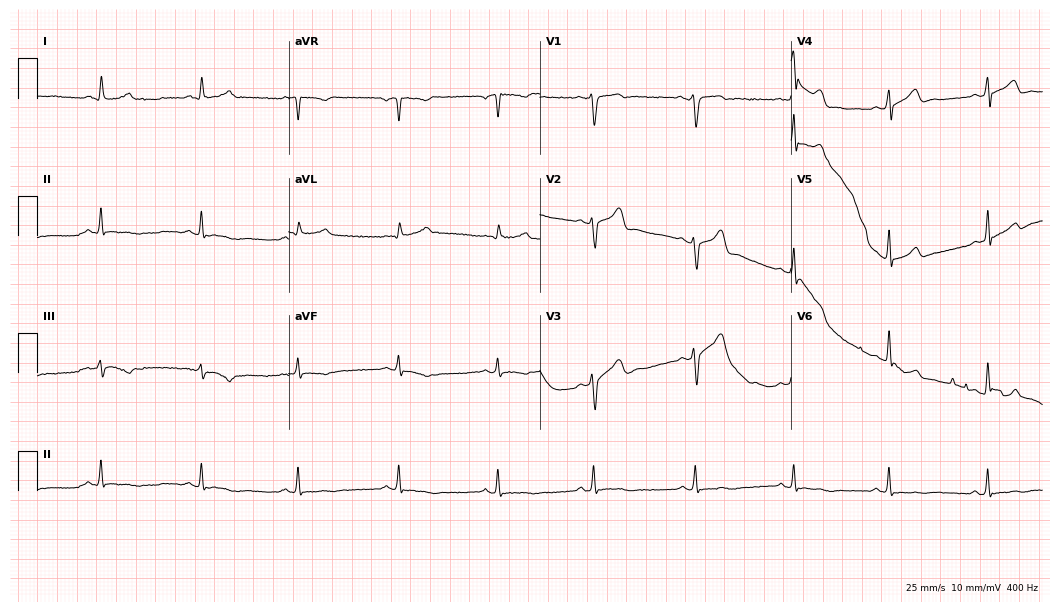
Resting 12-lead electrocardiogram (10.2-second recording at 400 Hz). Patient: a 22-year-old male. None of these six findings is recorded: first-degree AV block, right bundle branch block, left bundle branch block, sinus bradycardia, atrial fibrillation, sinus tachycardia. Findings outside these six are not listed.